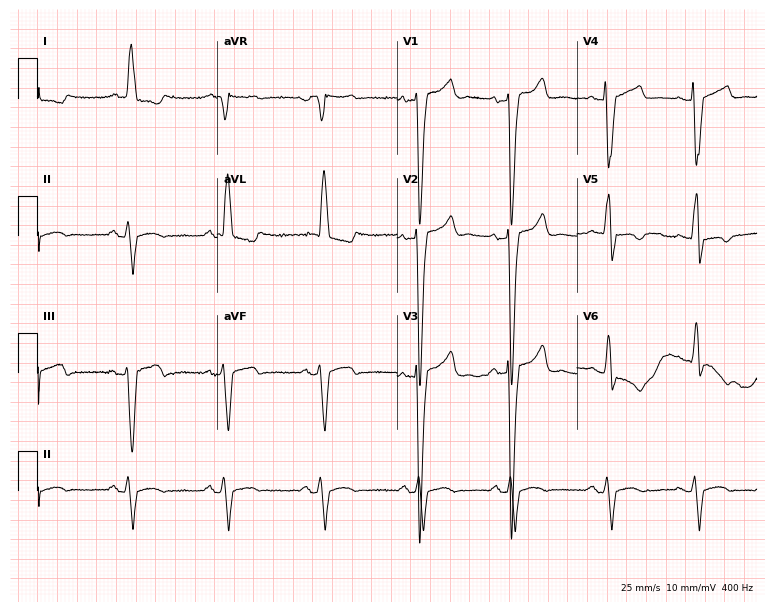
ECG — a 62-year-old female patient. Findings include left bundle branch block (LBBB).